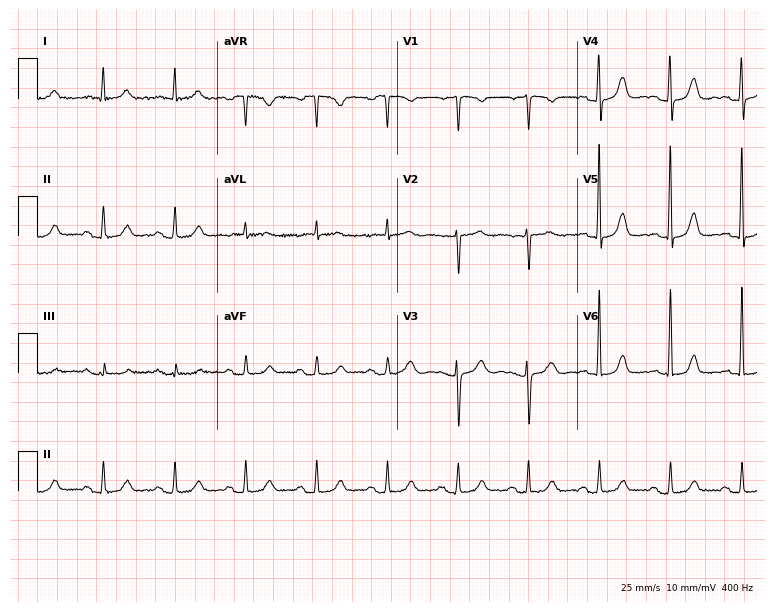
12-lead ECG from an 80-year-old female. Labelled as a normal ECG.